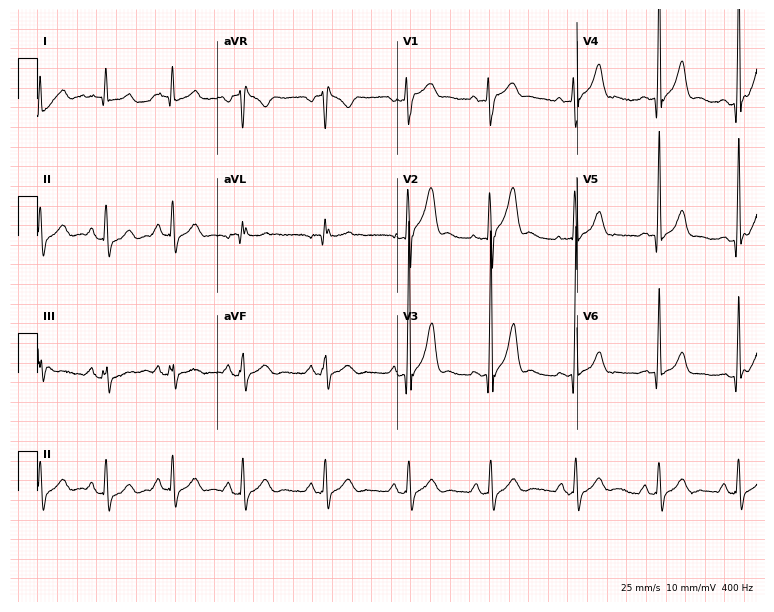
ECG — a male patient, 23 years old. Screened for six findings — first-degree AV block, right bundle branch block, left bundle branch block, sinus bradycardia, atrial fibrillation, sinus tachycardia — none is recorded.